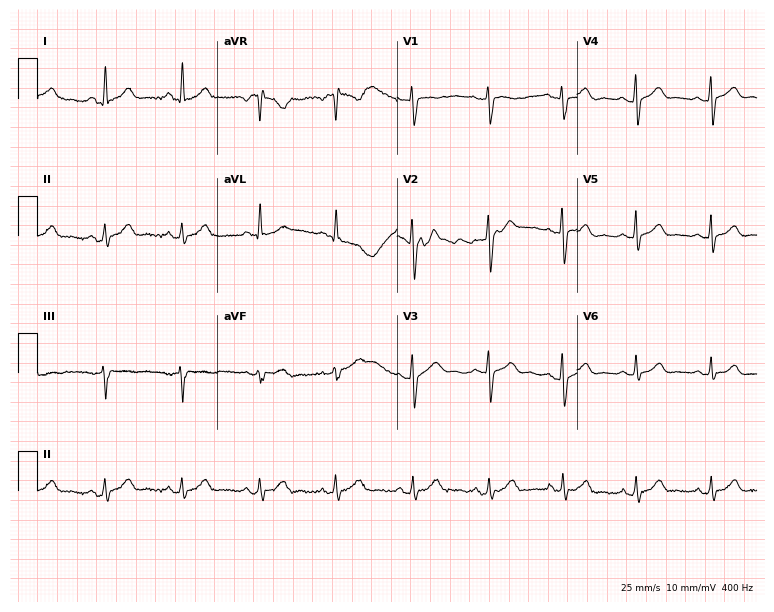
12-lead ECG (7.3-second recording at 400 Hz) from a male, 31 years old. Screened for six findings — first-degree AV block, right bundle branch block, left bundle branch block, sinus bradycardia, atrial fibrillation, sinus tachycardia — none is recorded. Findings outside these six are not listed.